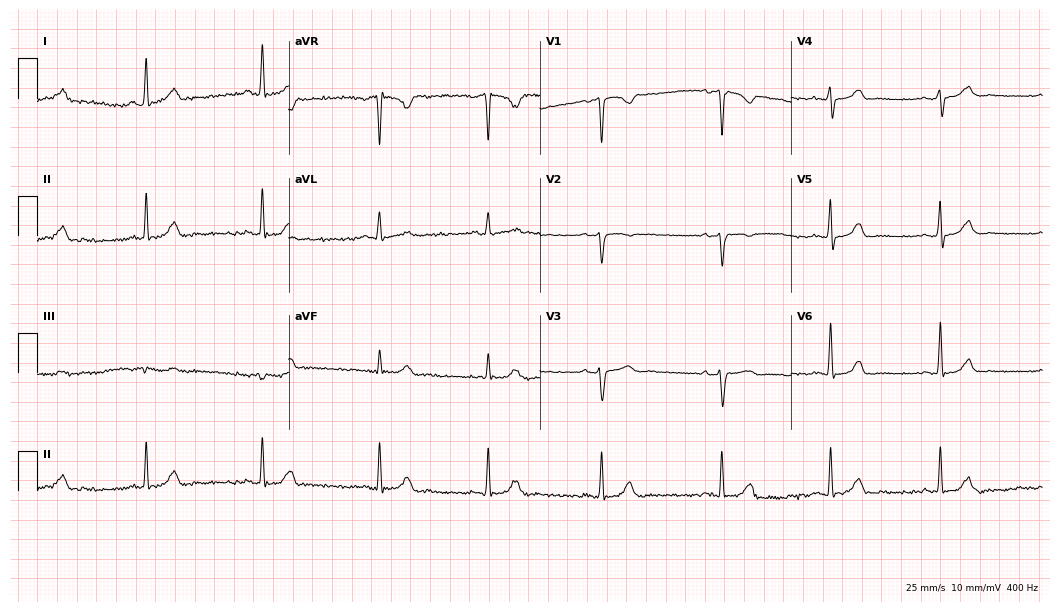
12-lead ECG from a female, 42 years old. Labelled as a normal ECG.